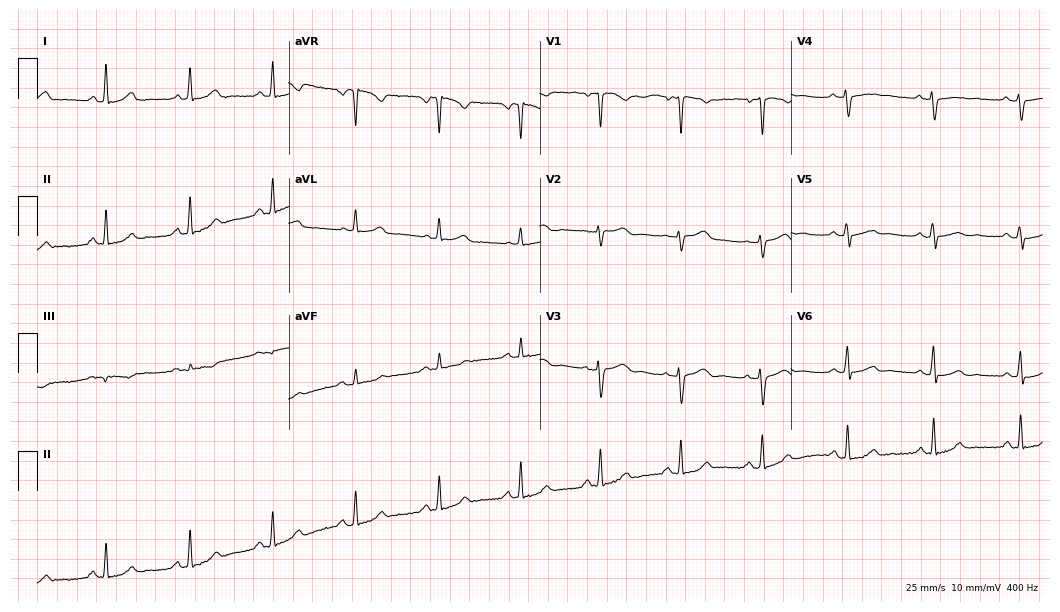
Resting 12-lead electrocardiogram. Patient: a woman, 37 years old. Read as a normal ECG.